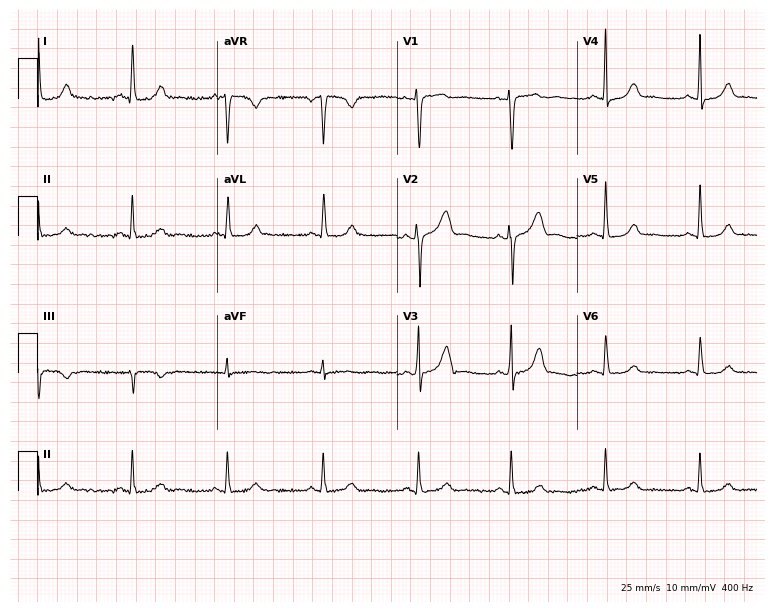
Resting 12-lead electrocardiogram. Patient: a female, 45 years old. Read as a normal ECG.